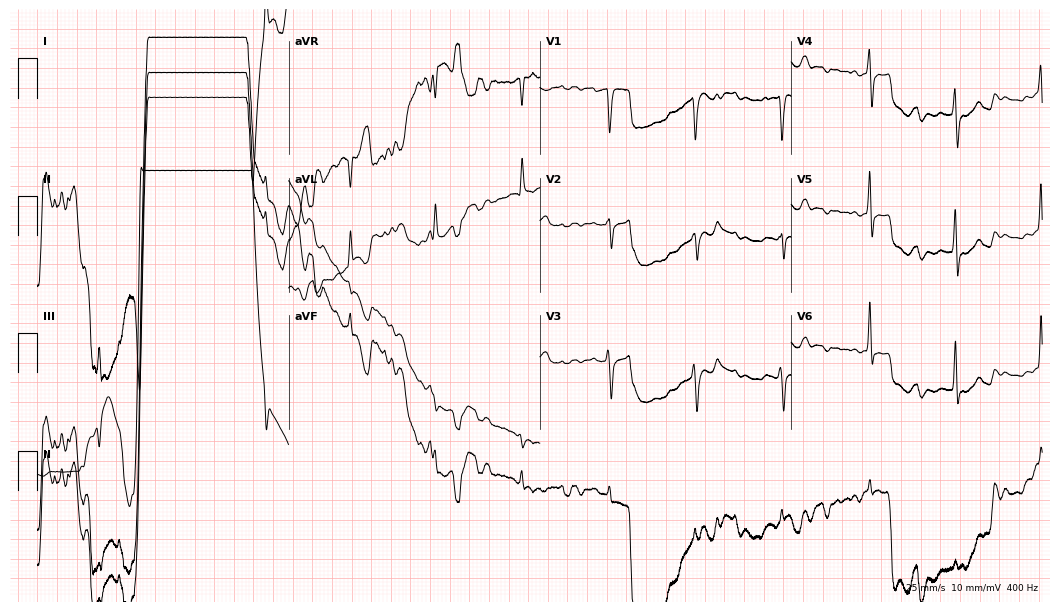
Resting 12-lead electrocardiogram (10.2-second recording at 400 Hz). Patient: a 54-year-old male. None of these six findings is recorded: first-degree AV block, right bundle branch block (RBBB), left bundle branch block (LBBB), sinus bradycardia, atrial fibrillation (AF), sinus tachycardia. Other findings, if any, are not listed.